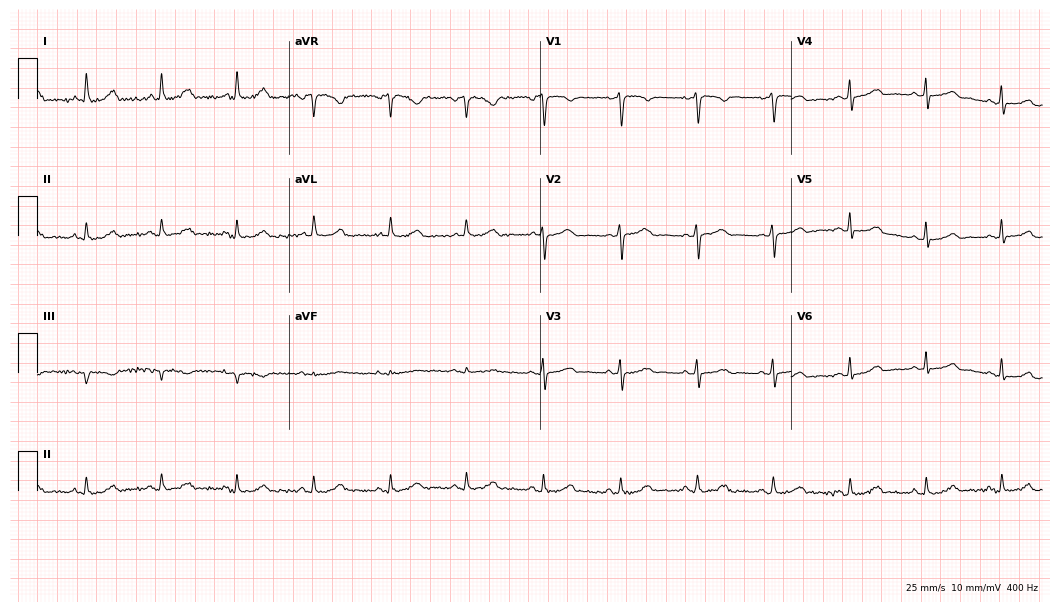
12-lead ECG from a female, 82 years old. Labelled as a normal ECG.